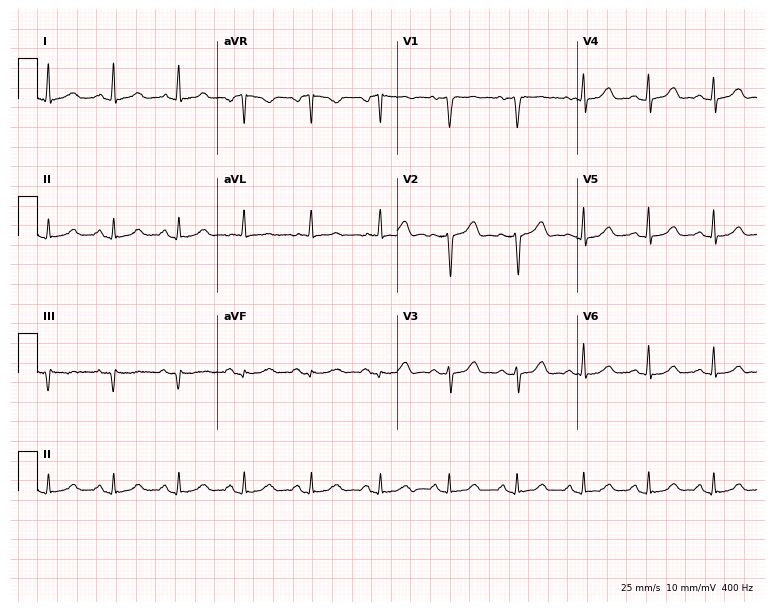
Resting 12-lead electrocardiogram. Patient: a female, 57 years old. Read as a normal ECG.